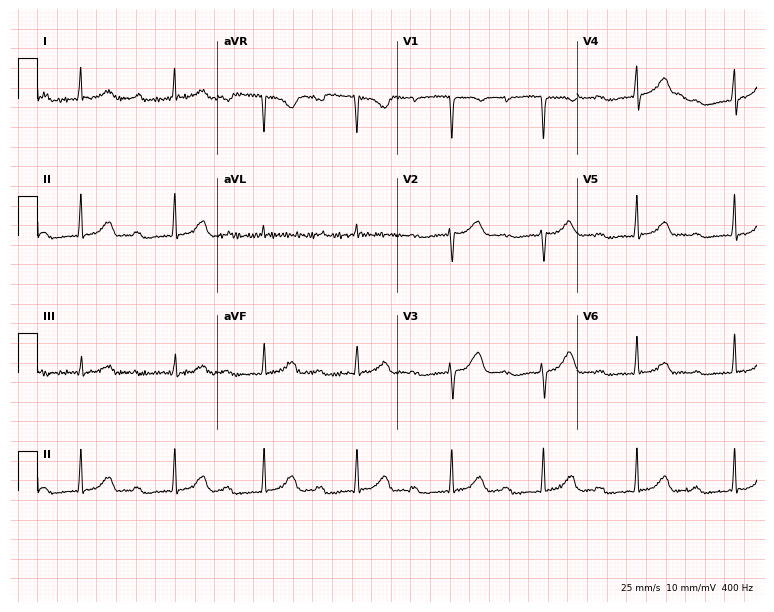
12-lead ECG from a 37-year-old female. Shows first-degree AV block.